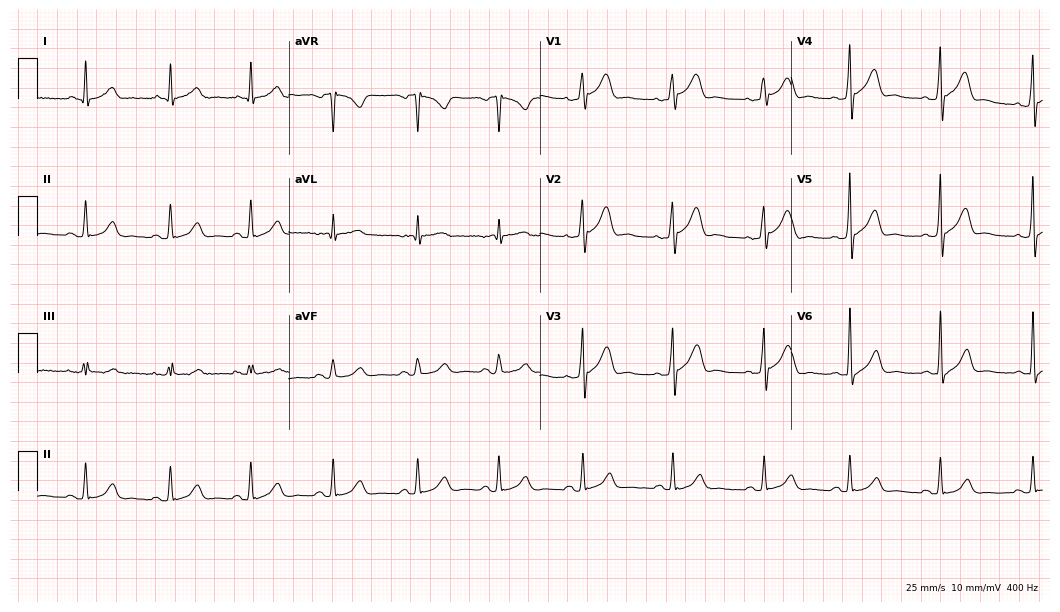
Electrocardiogram, a 47-year-old male patient. Overall reading on record: normal ECG.